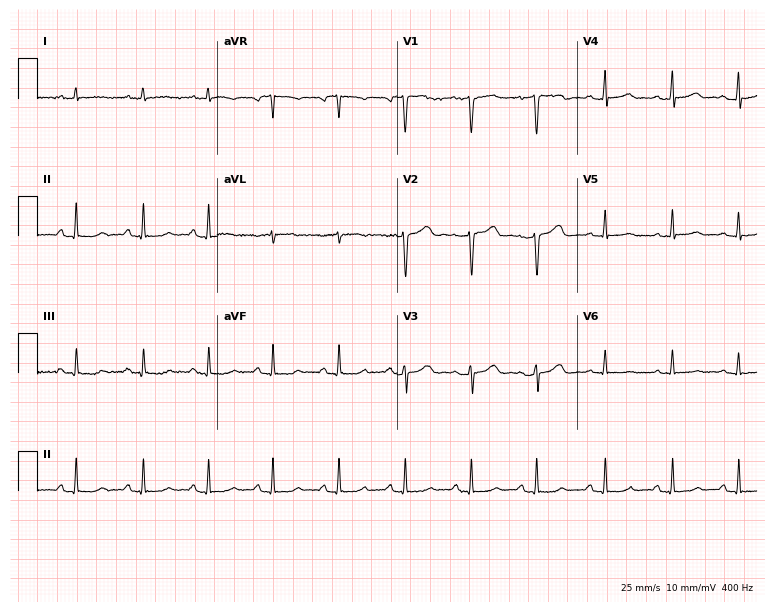
12-lead ECG from a female patient, 50 years old. No first-degree AV block, right bundle branch block, left bundle branch block, sinus bradycardia, atrial fibrillation or sinus tachycardia recorded for this tracing.